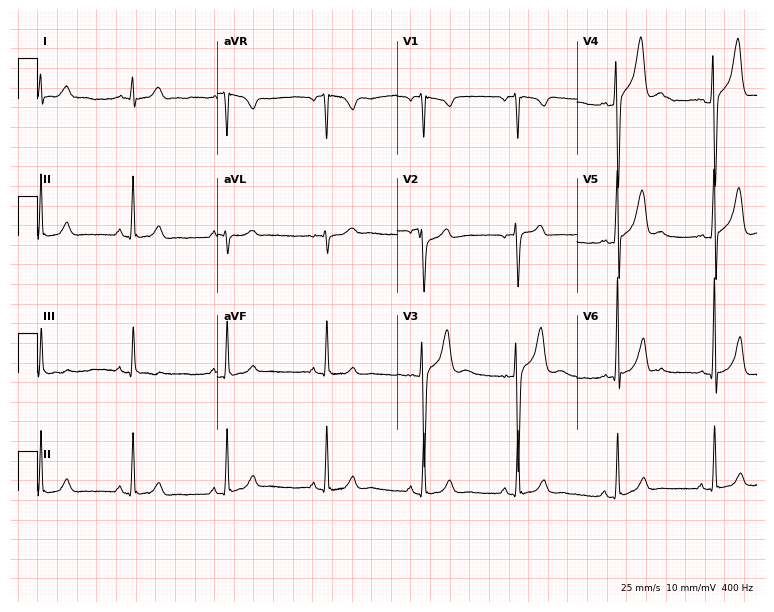
12-lead ECG (7.3-second recording at 400 Hz) from a 31-year-old man. Labelled as a normal ECG.